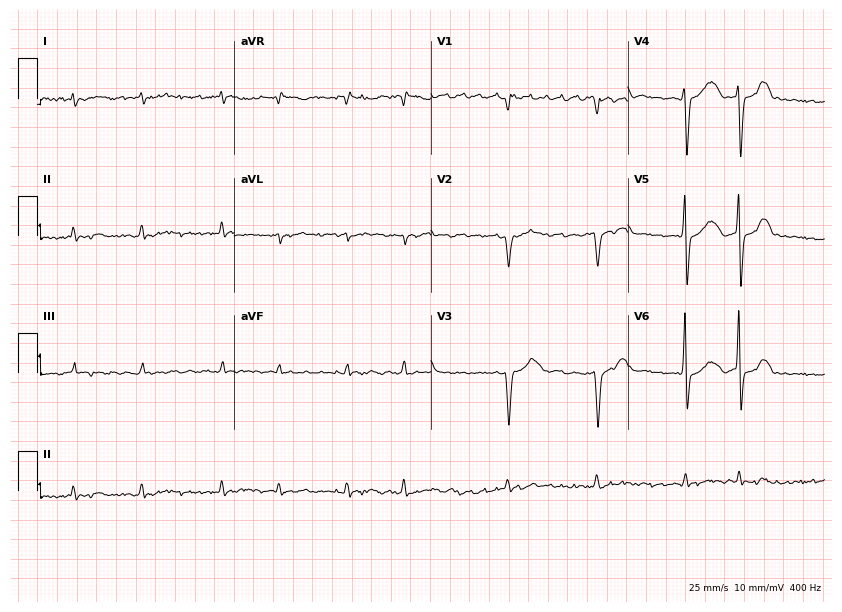
Standard 12-lead ECG recorded from an 80-year-old male patient (8-second recording at 400 Hz). The tracing shows atrial fibrillation.